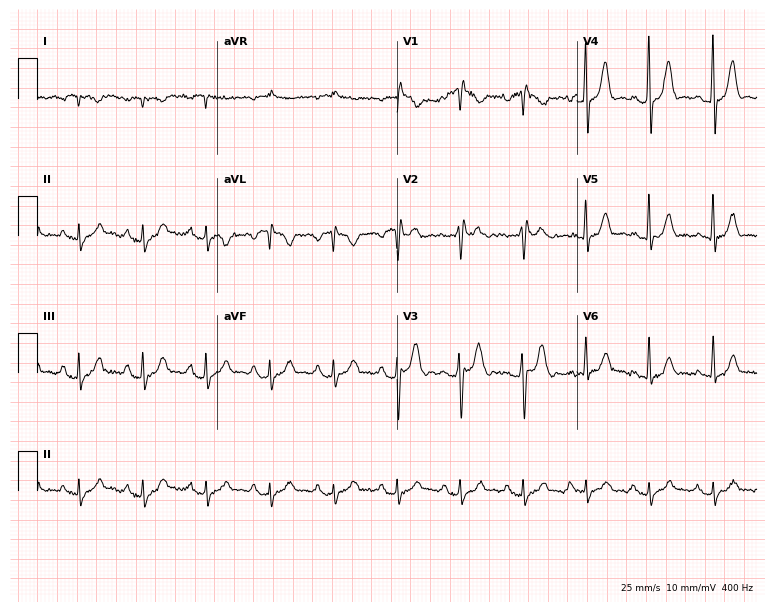
12-lead ECG from a 68-year-old male (7.3-second recording at 400 Hz). No first-degree AV block, right bundle branch block, left bundle branch block, sinus bradycardia, atrial fibrillation or sinus tachycardia recorded for this tracing. Other findings, if any, are not listed.